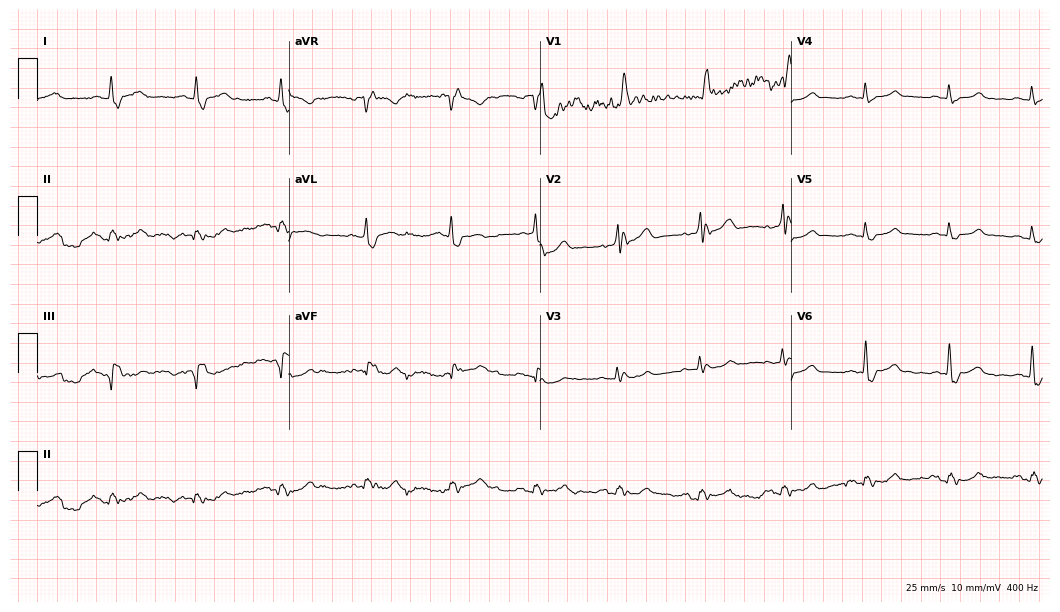
Electrocardiogram (10.2-second recording at 400 Hz), a 61-year-old man. Of the six screened findings (first-degree AV block, right bundle branch block, left bundle branch block, sinus bradycardia, atrial fibrillation, sinus tachycardia), none is recorded. Findings outside these six are not listed.